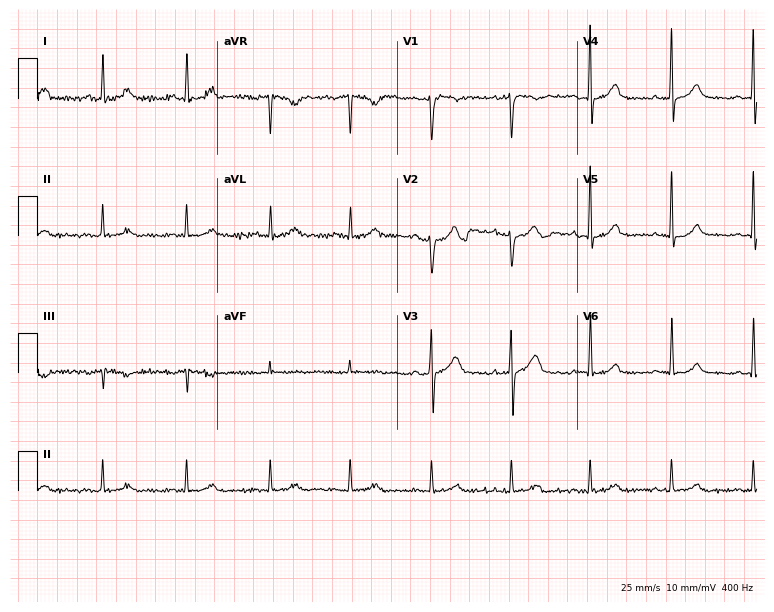
Resting 12-lead electrocardiogram (7.3-second recording at 400 Hz). Patient: a 46-year-old man. None of these six findings is recorded: first-degree AV block, right bundle branch block, left bundle branch block, sinus bradycardia, atrial fibrillation, sinus tachycardia.